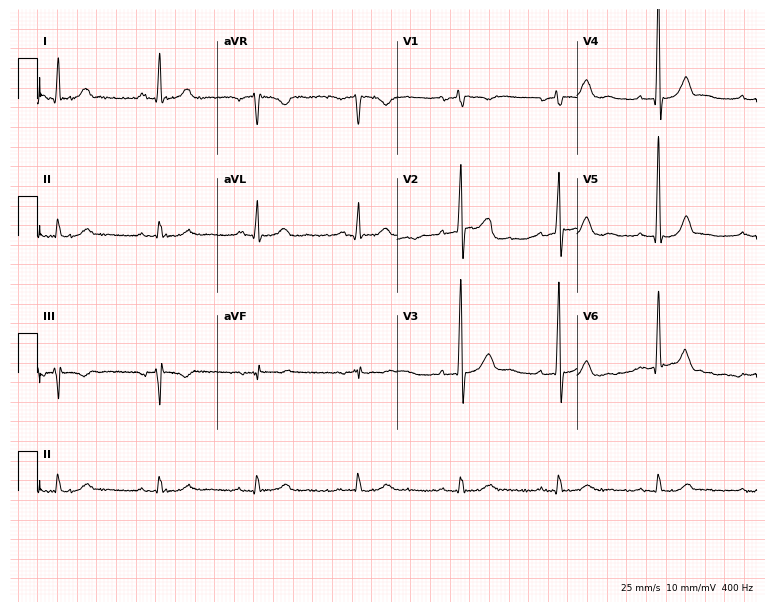
ECG (7.3-second recording at 400 Hz) — a man, 69 years old. Screened for six findings — first-degree AV block, right bundle branch block, left bundle branch block, sinus bradycardia, atrial fibrillation, sinus tachycardia — none is recorded. Only these six findings were labelled.